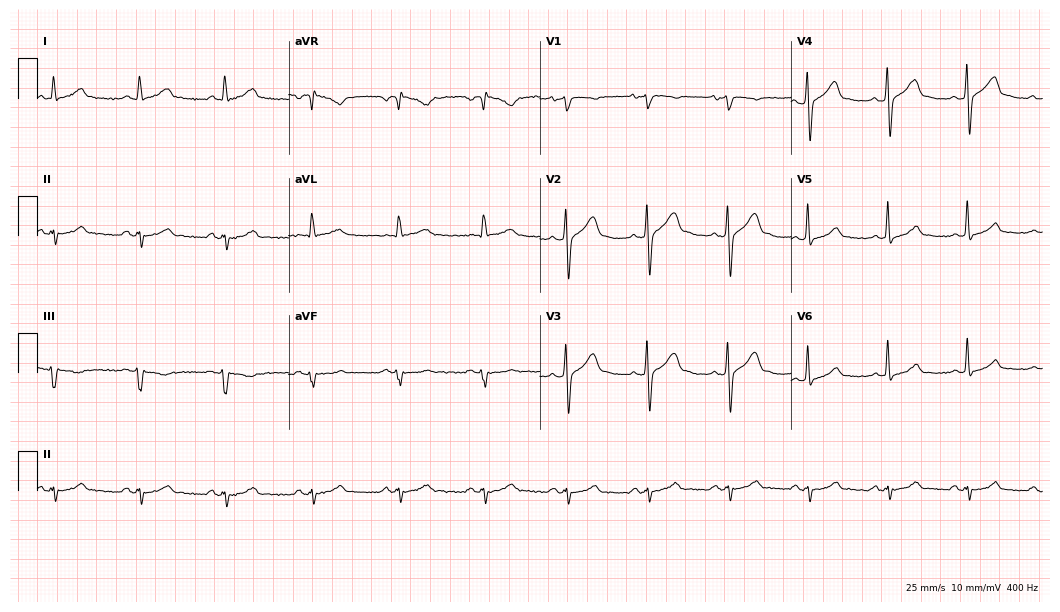
12-lead ECG (10.2-second recording at 400 Hz) from a 49-year-old male. Screened for six findings — first-degree AV block, right bundle branch block, left bundle branch block, sinus bradycardia, atrial fibrillation, sinus tachycardia — none is recorded.